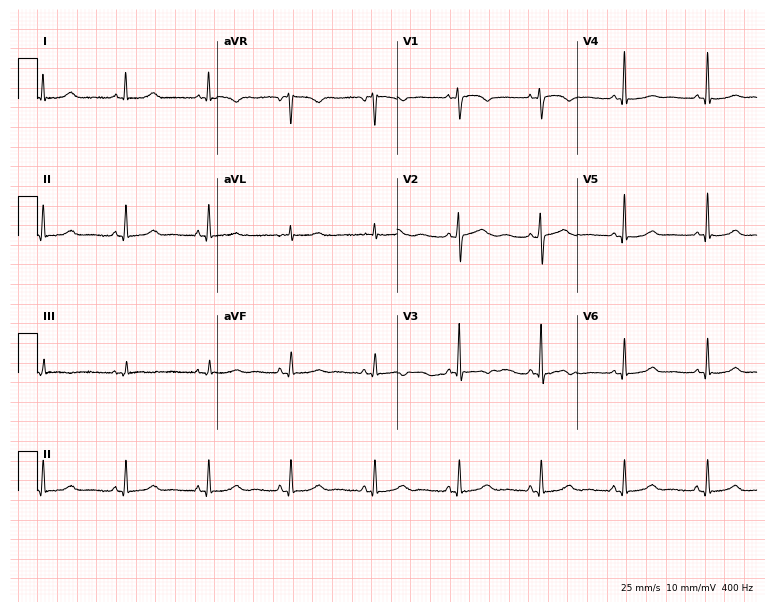
Standard 12-lead ECG recorded from a female patient, 49 years old. Read as a normal ECG.